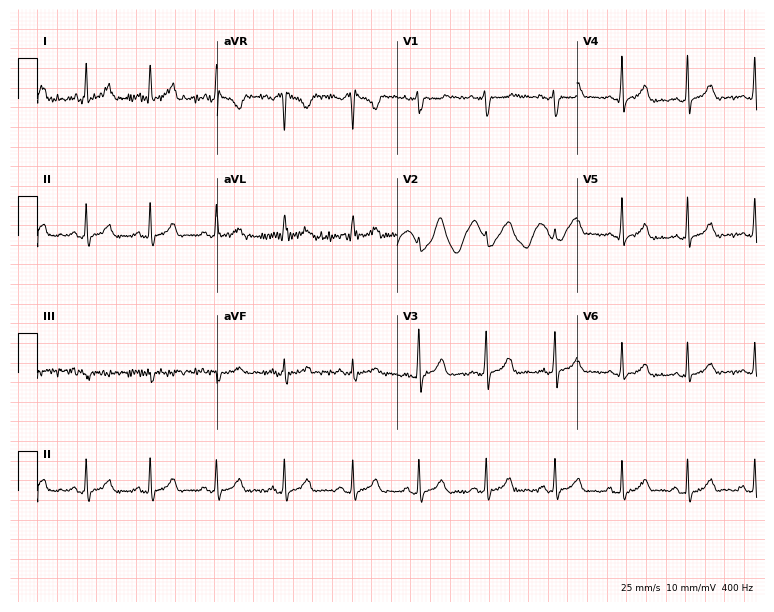
ECG (7.3-second recording at 400 Hz) — a 37-year-old woman. Screened for six findings — first-degree AV block, right bundle branch block (RBBB), left bundle branch block (LBBB), sinus bradycardia, atrial fibrillation (AF), sinus tachycardia — none is recorded.